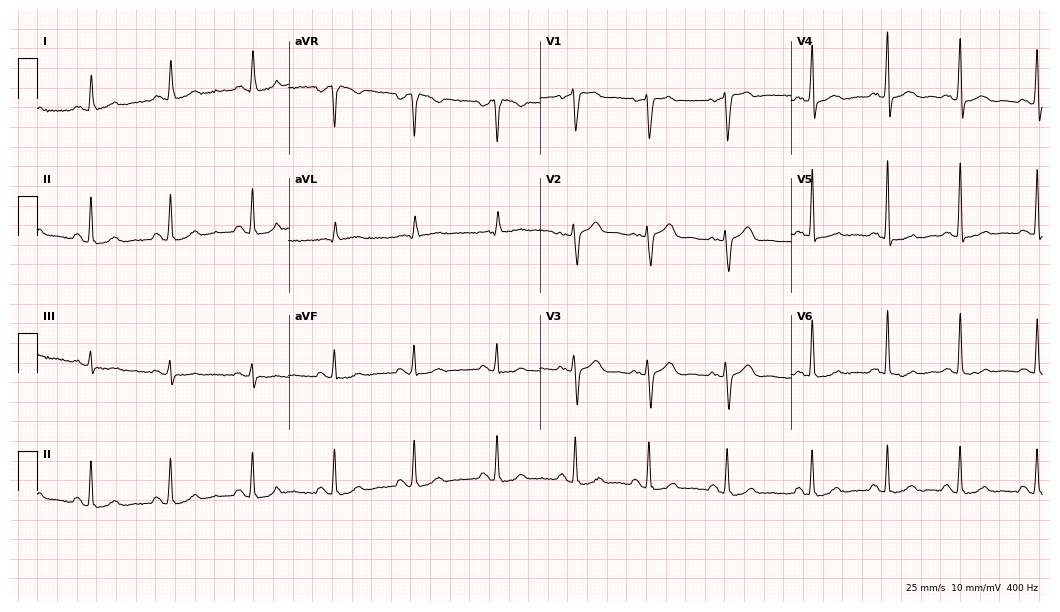
12-lead ECG from a woman, 48 years old. Screened for six findings — first-degree AV block, right bundle branch block, left bundle branch block, sinus bradycardia, atrial fibrillation, sinus tachycardia — none is recorded. Other findings, if any, are not listed.